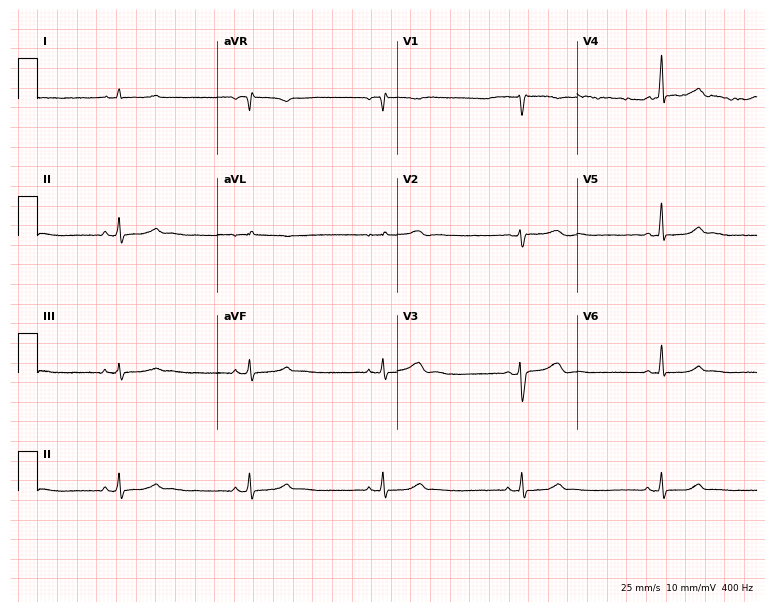
Standard 12-lead ECG recorded from a female patient, 45 years old (7.3-second recording at 400 Hz). The tracing shows sinus bradycardia (a sinus rate of 50 beats per minute or less).